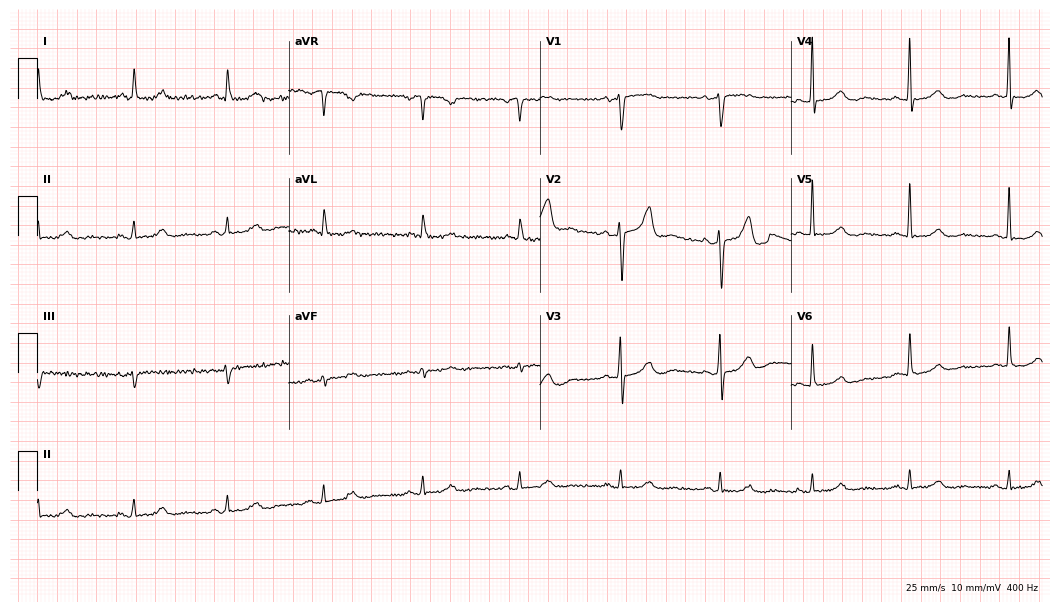
Standard 12-lead ECG recorded from an 83-year-old female. Read as a normal ECG.